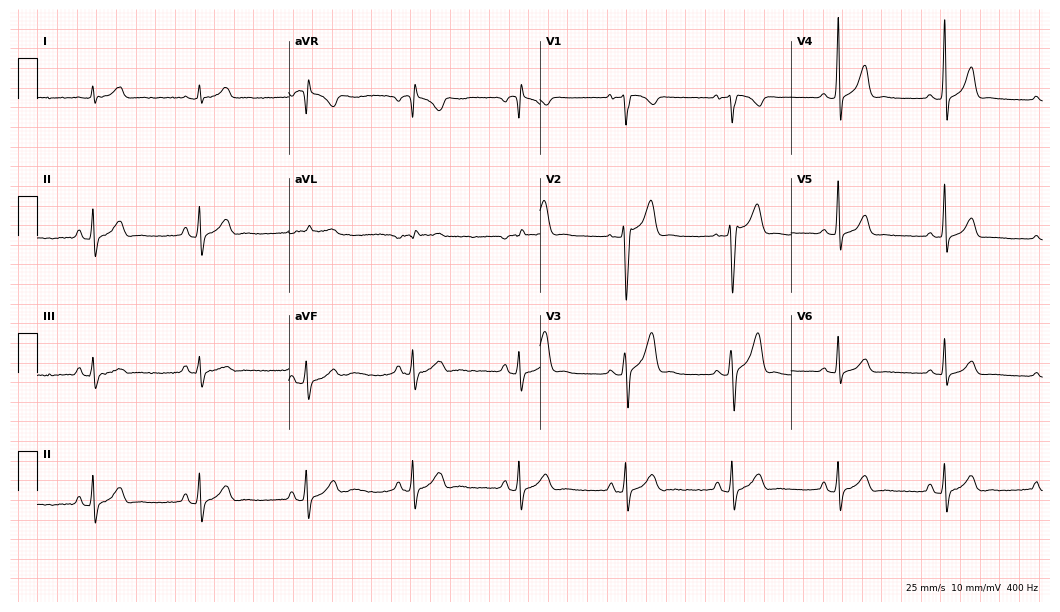
Electrocardiogram, a 21-year-old man. Overall reading on record: normal ECG.